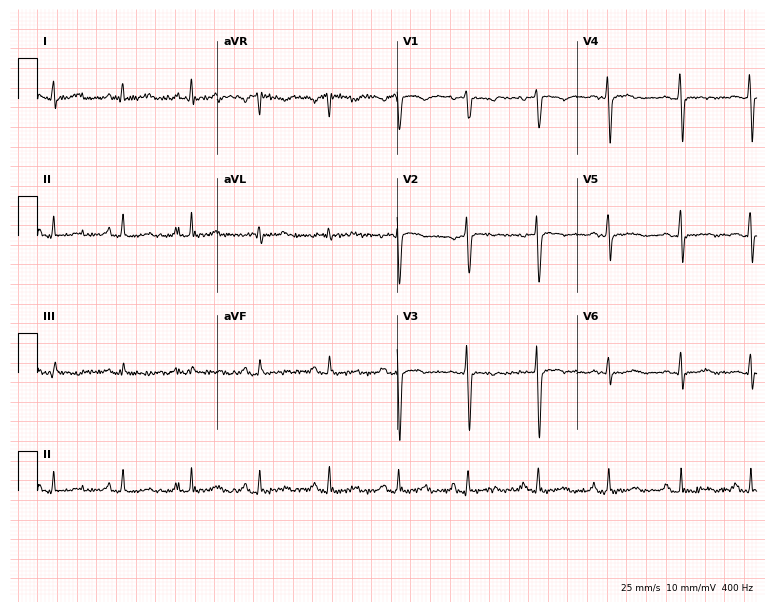
Resting 12-lead electrocardiogram. Patient: a male, 39 years old. None of these six findings is recorded: first-degree AV block, right bundle branch block (RBBB), left bundle branch block (LBBB), sinus bradycardia, atrial fibrillation (AF), sinus tachycardia. Only these six findings were labelled.